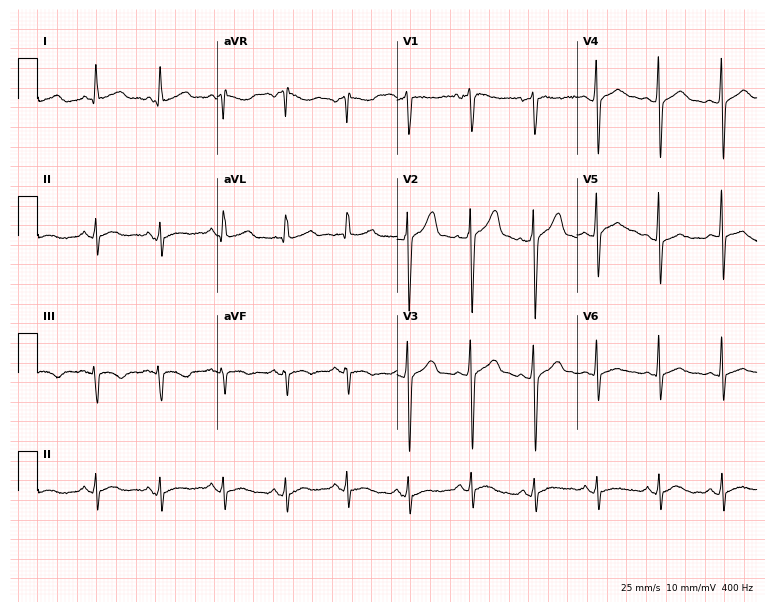
Standard 12-lead ECG recorded from a 42-year-old male patient (7.3-second recording at 400 Hz). None of these six findings is recorded: first-degree AV block, right bundle branch block, left bundle branch block, sinus bradycardia, atrial fibrillation, sinus tachycardia. Findings outside these six are not listed.